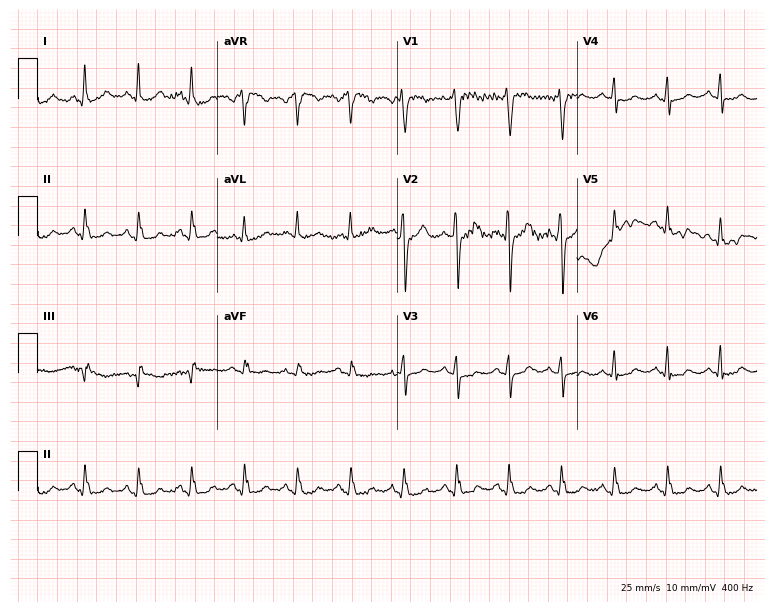
Standard 12-lead ECG recorded from a female, 64 years old. The tracing shows sinus tachycardia (a sinus rate of 100 beats per minute or more).